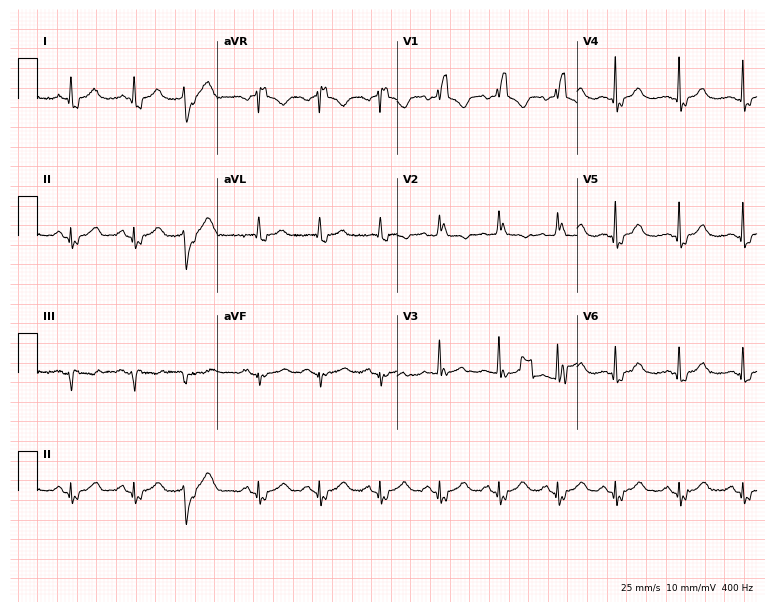
Standard 12-lead ECG recorded from a female patient, 72 years old. None of these six findings is recorded: first-degree AV block, right bundle branch block, left bundle branch block, sinus bradycardia, atrial fibrillation, sinus tachycardia. Only these six findings were labelled.